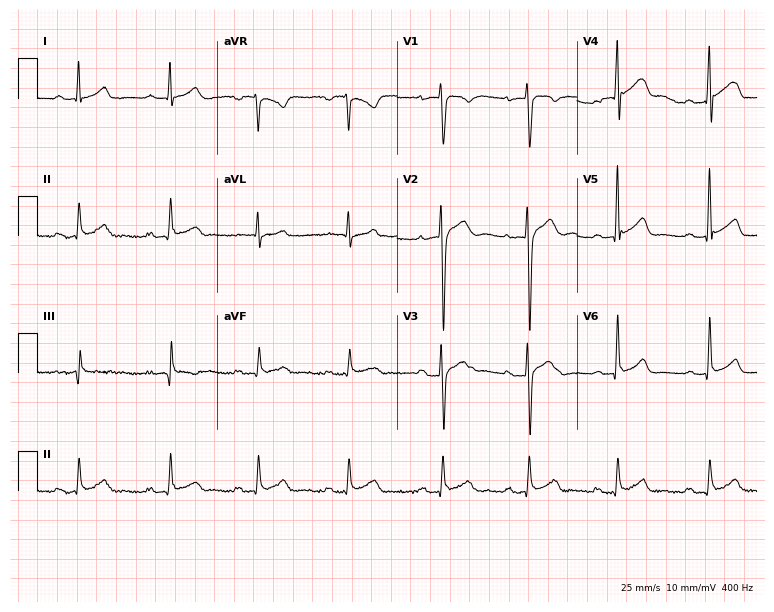
Resting 12-lead electrocardiogram. Patient: a 37-year-old male. The tracing shows first-degree AV block.